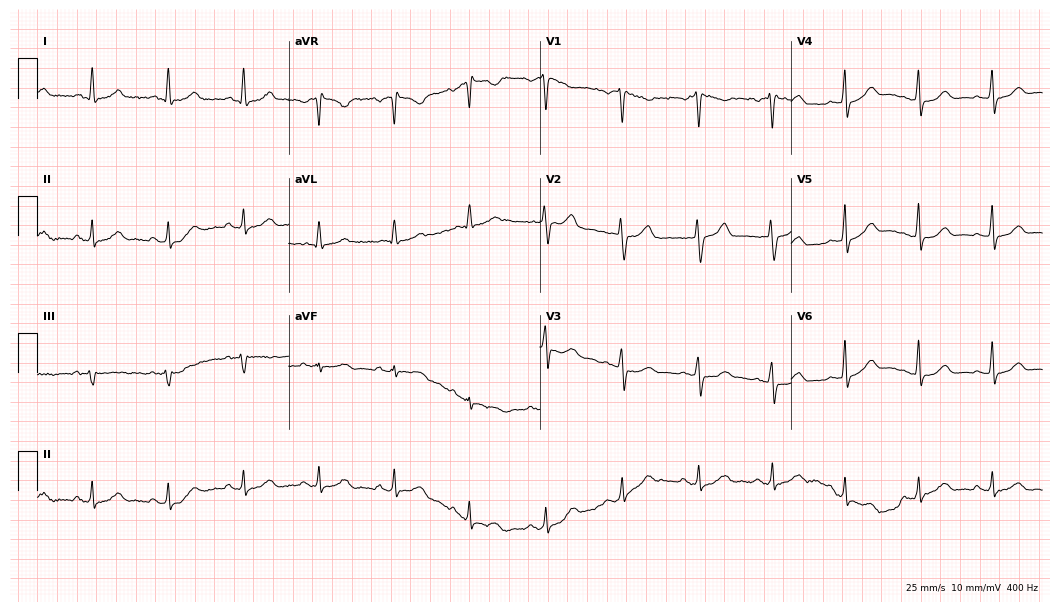
Electrocardiogram, a 60-year-old woman. Overall reading on record: normal ECG.